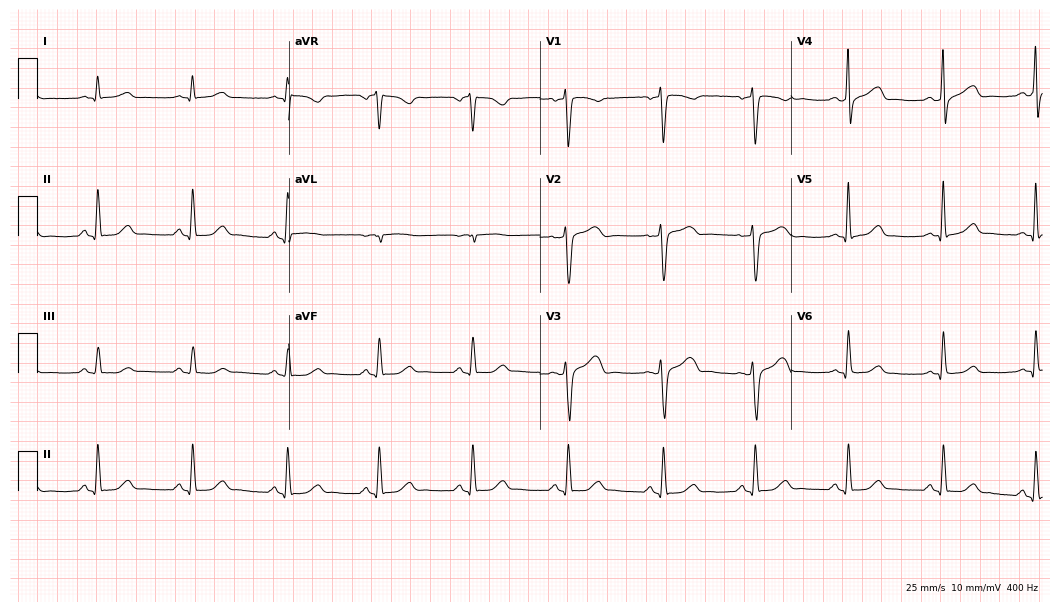
12-lead ECG from a male, 47 years old. No first-degree AV block, right bundle branch block (RBBB), left bundle branch block (LBBB), sinus bradycardia, atrial fibrillation (AF) or sinus tachycardia recorded for this tracing.